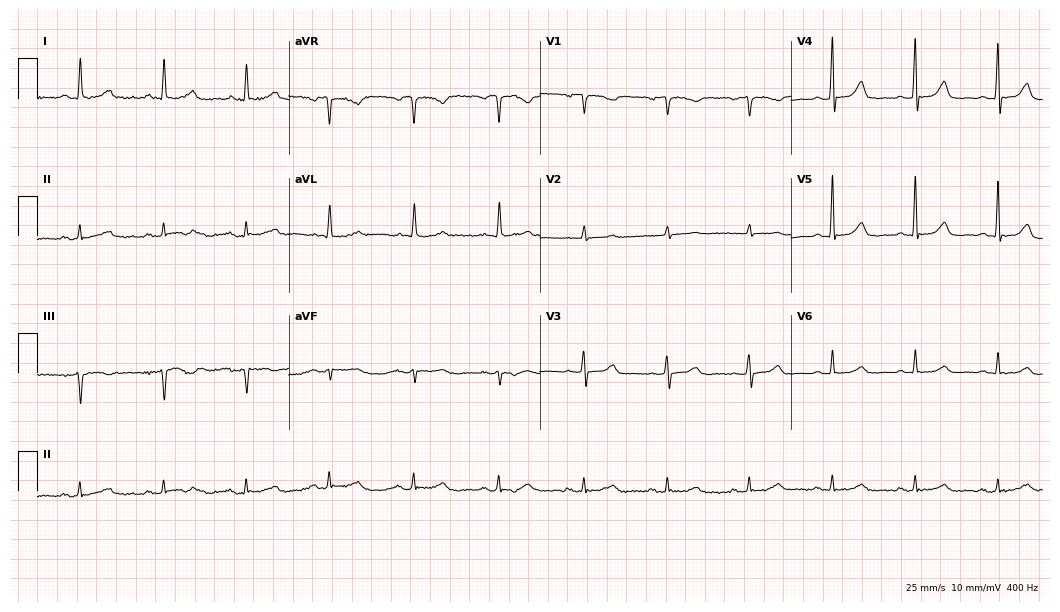
12-lead ECG from an 85-year-old woman. Labelled as a normal ECG.